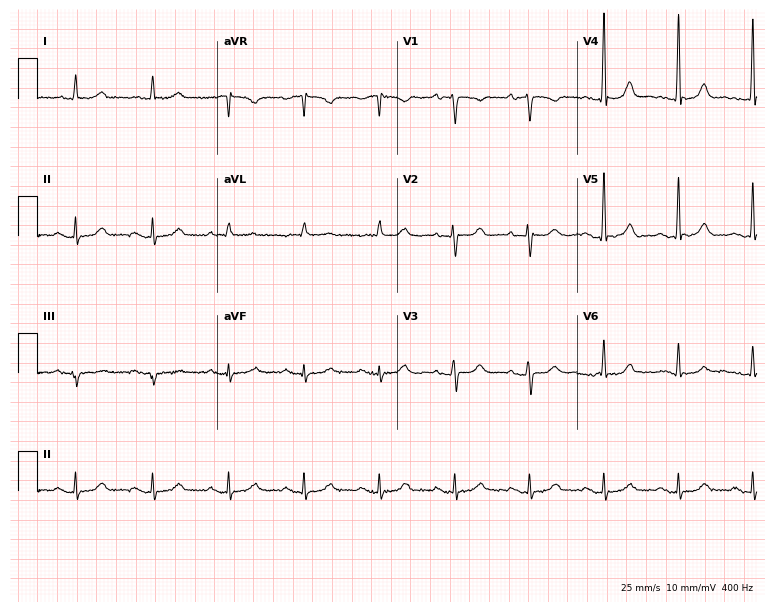
12-lead ECG from an 83-year-old female. Labelled as a normal ECG.